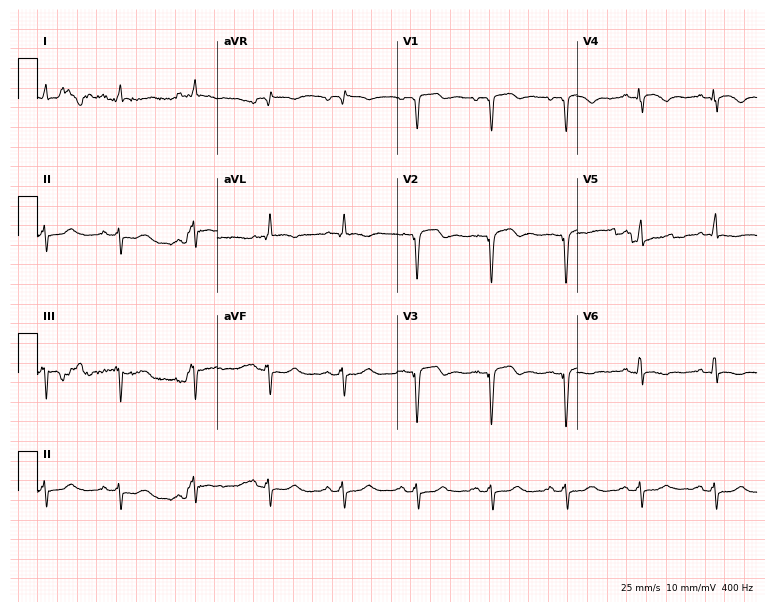
12-lead ECG from a 64-year-old male (7.3-second recording at 400 Hz). No first-degree AV block, right bundle branch block (RBBB), left bundle branch block (LBBB), sinus bradycardia, atrial fibrillation (AF) or sinus tachycardia recorded for this tracing.